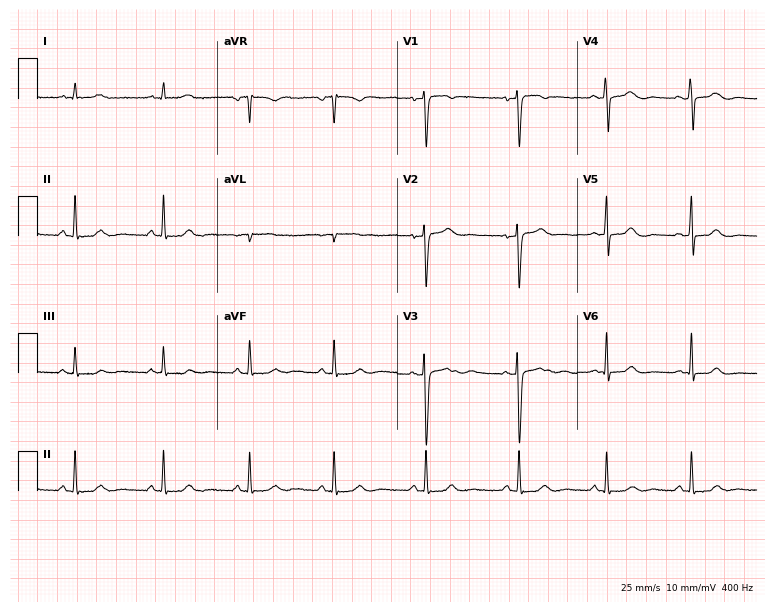
Resting 12-lead electrocardiogram. Patient: a female, 45 years old. Read as a normal ECG.